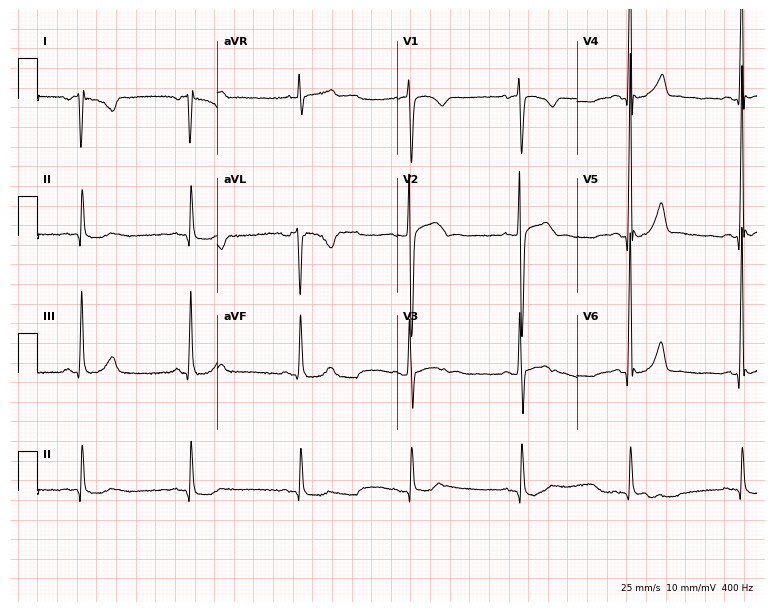
Resting 12-lead electrocardiogram. Patient: a male, 39 years old. None of these six findings is recorded: first-degree AV block, right bundle branch block, left bundle branch block, sinus bradycardia, atrial fibrillation, sinus tachycardia. Other findings, if any, are not listed.